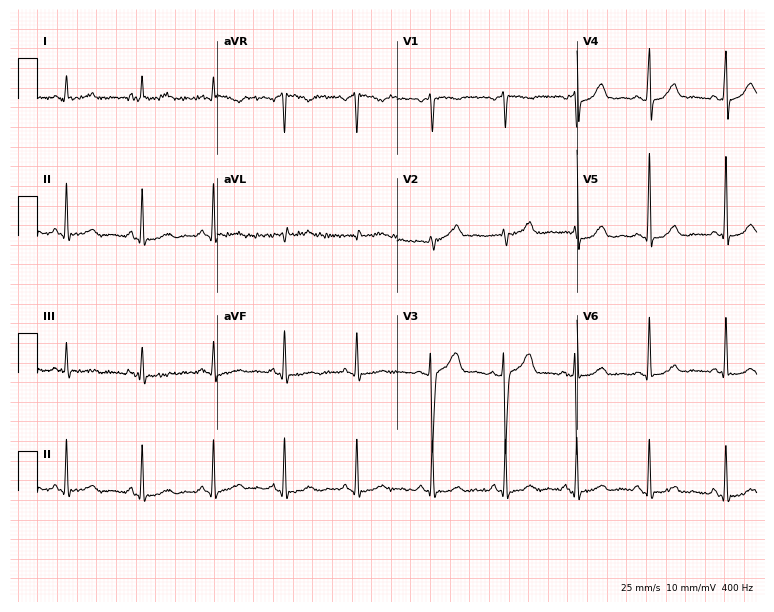
12-lead ECG from a 50-year-old female patient. Recorded interpretation: within normal limits.